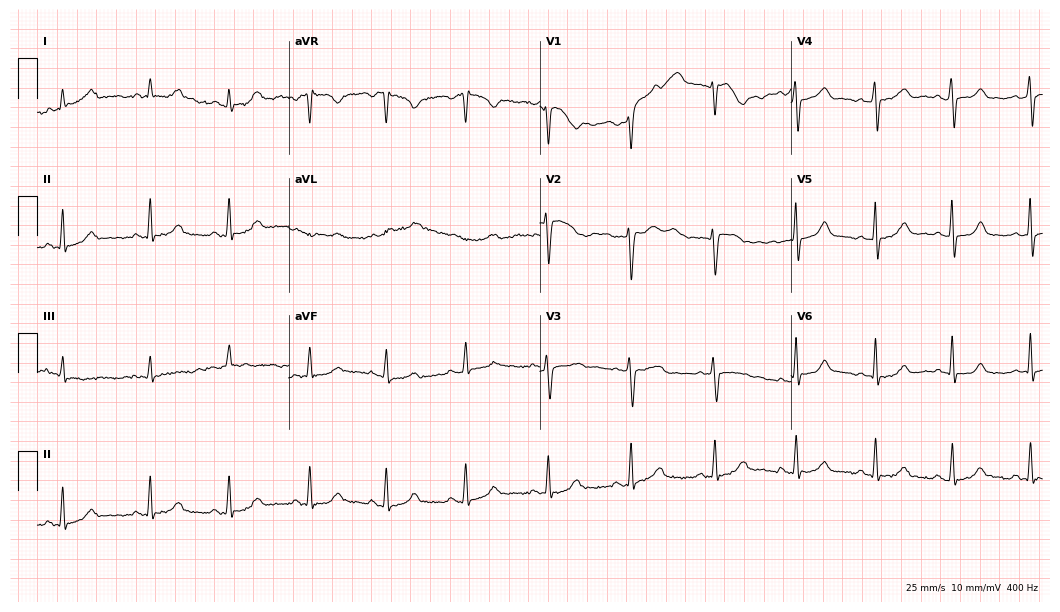
12-lead ECG from a 35-year-old female patient. Labelled as a normal ECG.